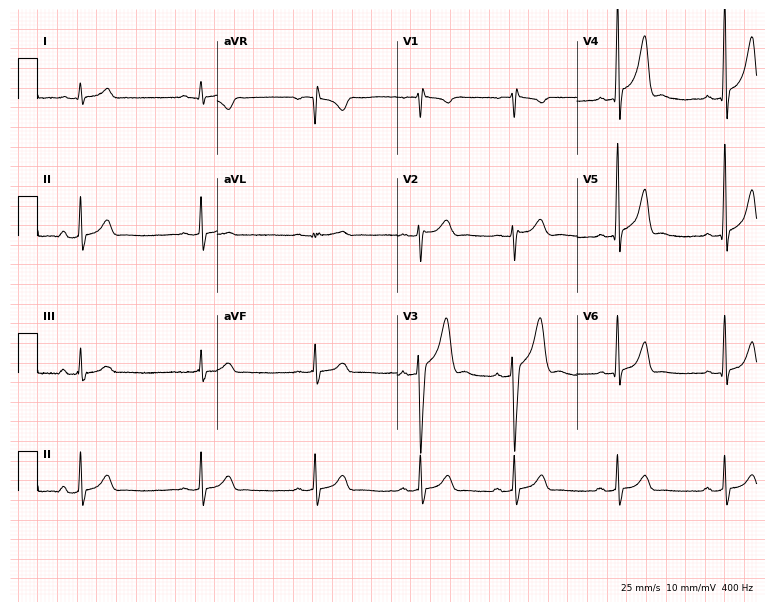
12-lead ECG from a 19-year-old male. No first-degree AV block, right bundle branch block (RBBB), left bundle branch block (LBBB), sinus bradycardia, atrial fibrillation (AF) or sinus tachycardia recorded for this tracing. Only these six findings were labelled.